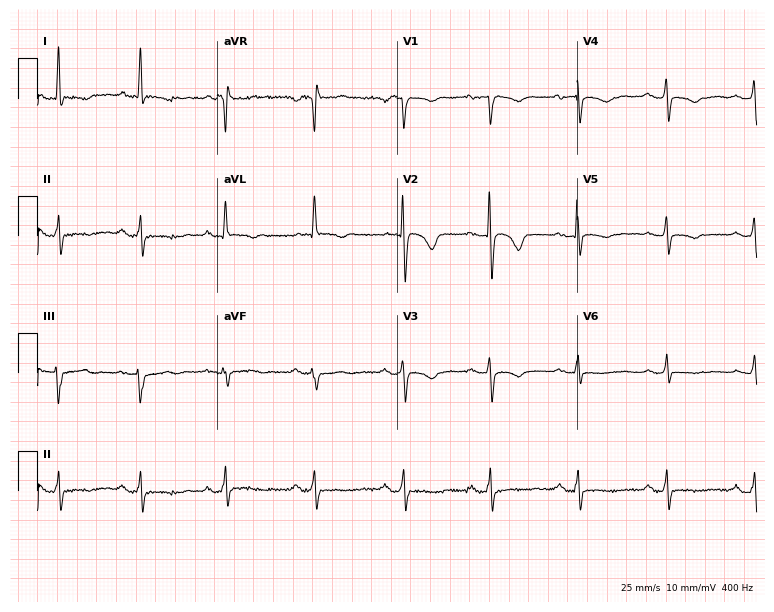
Standard 12-lead ECG recorded from a female patient, 53 years old (7.3-second recording at 400 Hz). None of these six findings is recorded: first-degree AV block, right bundle branch block, left bundle branch block, sinus bradycardia, atrial fibrillation, sinus tachycardia. Findings outside these six are not listed.